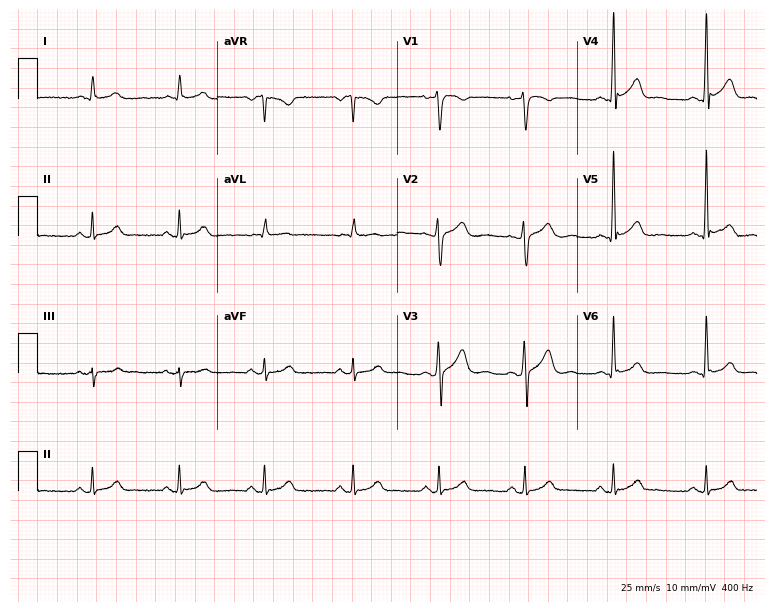
ECG — a 27-year-old male. Screened for six findings — first-degree AV block, right bundle branch block (RBBB), left bundle branch block (LBBB), sinus bradycardia, atrial fibrillation (AF), sinus tachycardia — none is recorded.